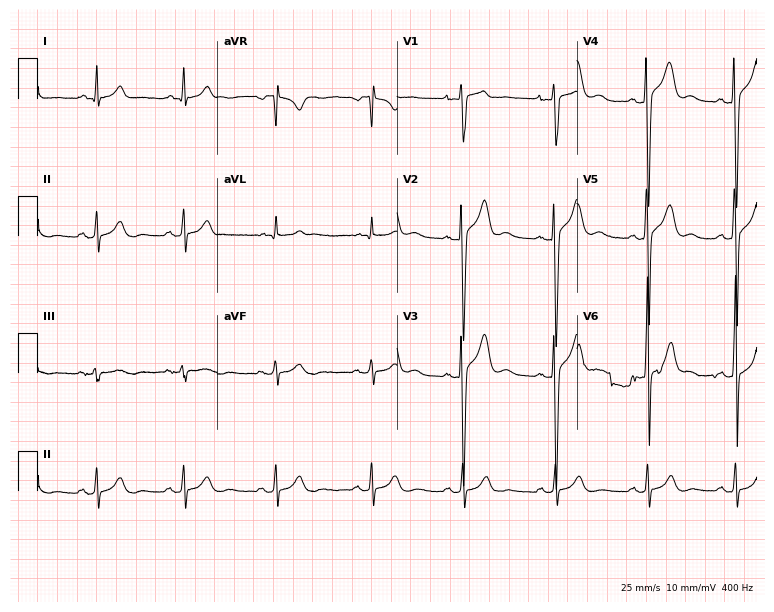
12-lead ECG from a male patient, 21 years old. Screened for six findings — first-degree AV block, right bundle branch block, left bundle branch block, sinus bradycardia, atrial fibrillation, sinus tachycardia — none is recorded.